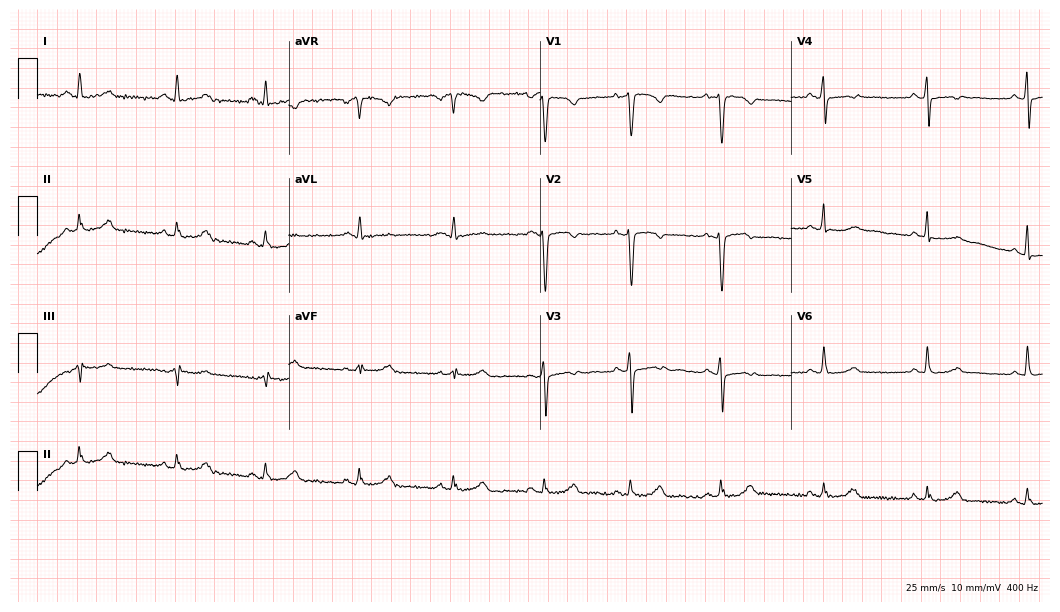
Resting 12-lead electrocardiogram (10.2-second recording at 400 Hz). Patient: a female, 32 years old. None of these six findings is recorded: first-degree AV block, right bundle branch block, left bundle branch block, sinus bradycardia, atrial fibrillation, sinus tachycardia.